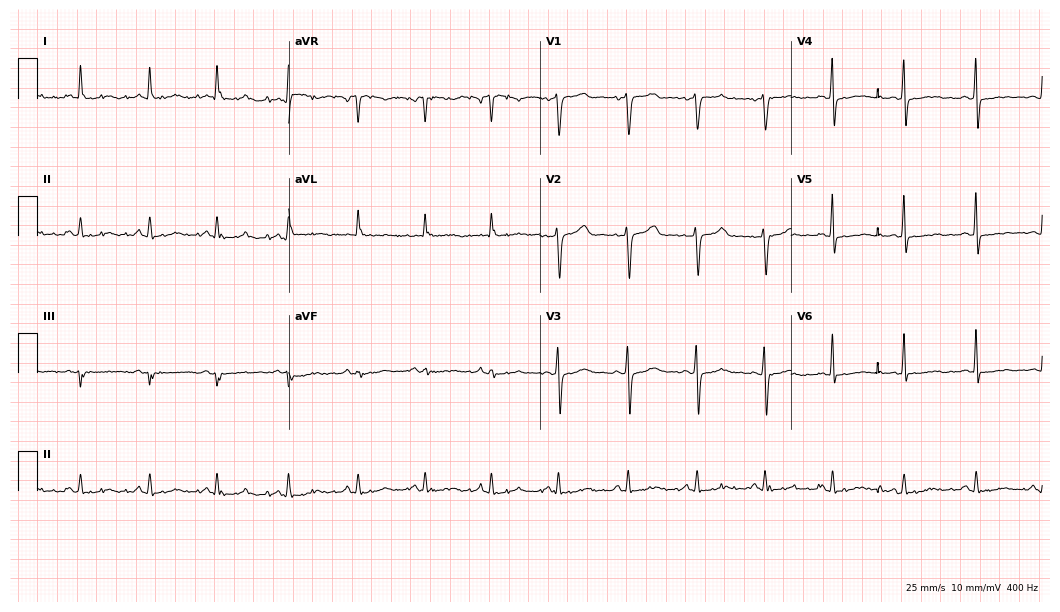
Standard 12-lead ECG recorded from a 56-year-old female patient (10.2-second recording at 400 Hz). None of these six findings is recorded: first-degree AV block, right bundle branch block (RBBB), left bundle branch block (LBBB), sinus bradycardia, atrial fibrillation (AF), sinus tachycardia. Only these six findings were labelled.